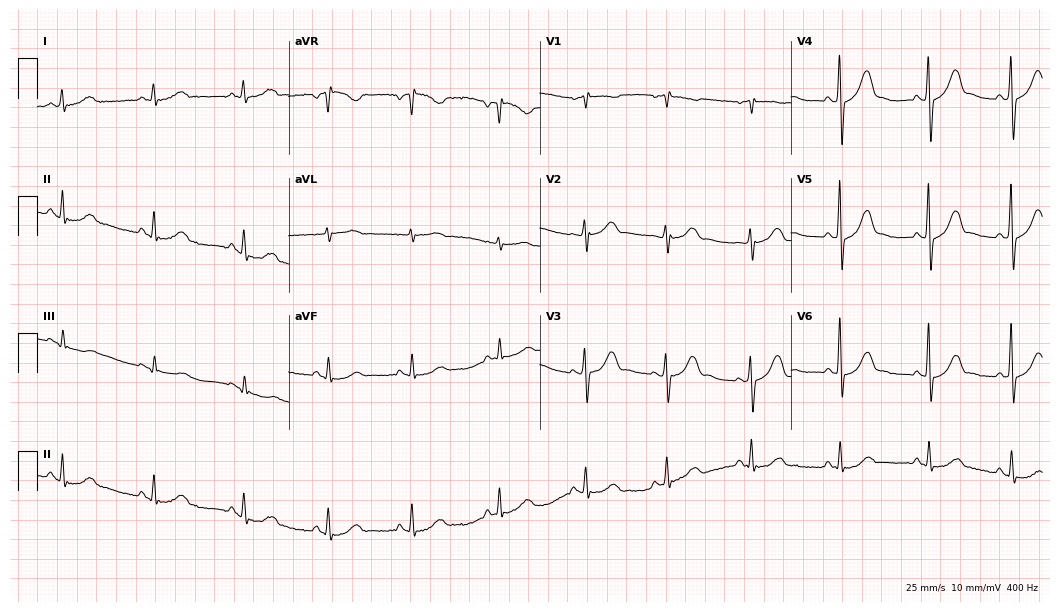
Standard 12-lead ECG recorded from a 49-year-old female (10.2-second recording at 400 Hz). Read as a normal ECG.